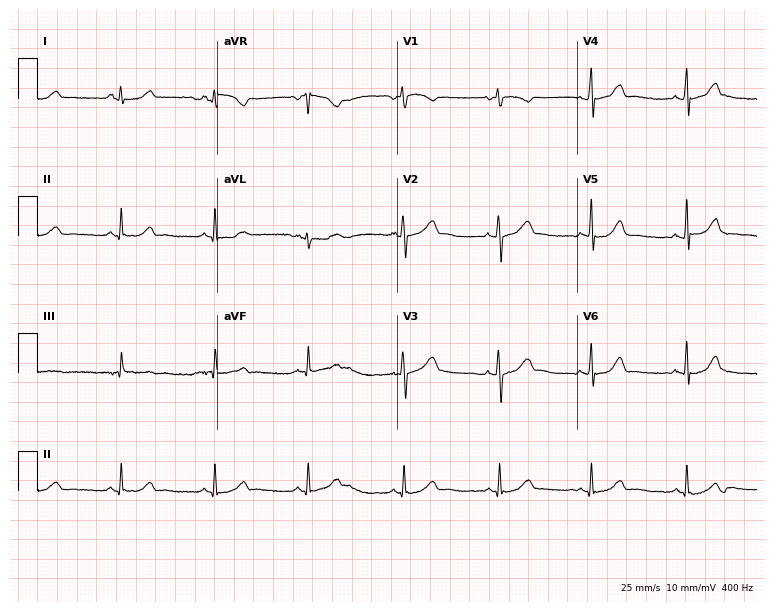
12-lead ECG from a 41-year-old woman (7.3-second recording at 400 Hz). Recorded interpretation: within normal limits.